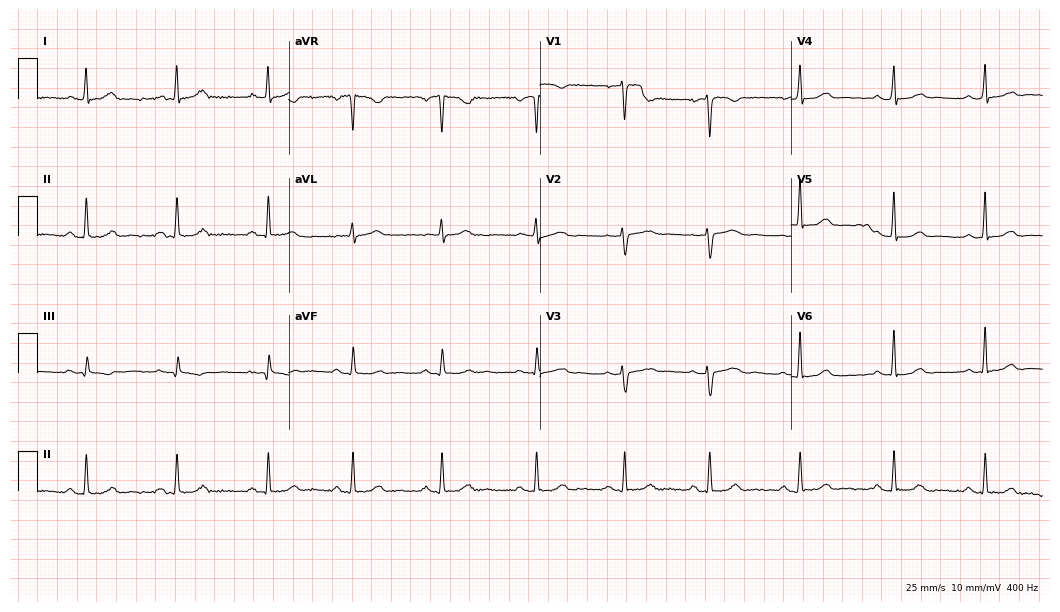
Resting 12-lead electrocardiogram. Patient: a woman, 31 years old. None of these six findings is recorded: first-degree AV block, right bundle branch block, left bundle branch block, sinus bradycardia, atrial fibrillation, sinus tachycardia. Only these six findings were labelled.